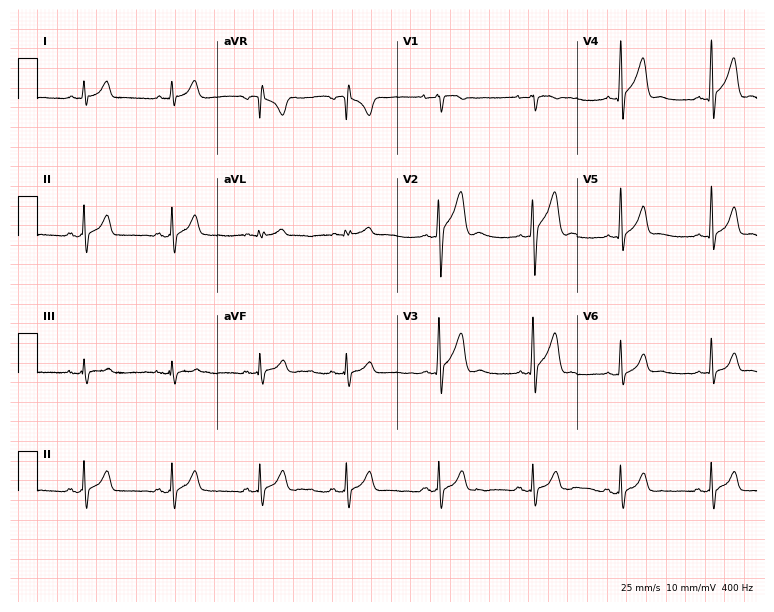
12-lead ECG (7.3-second recording at 400 Hz) from a male, 23 years old. Labelled as a normal ECG.